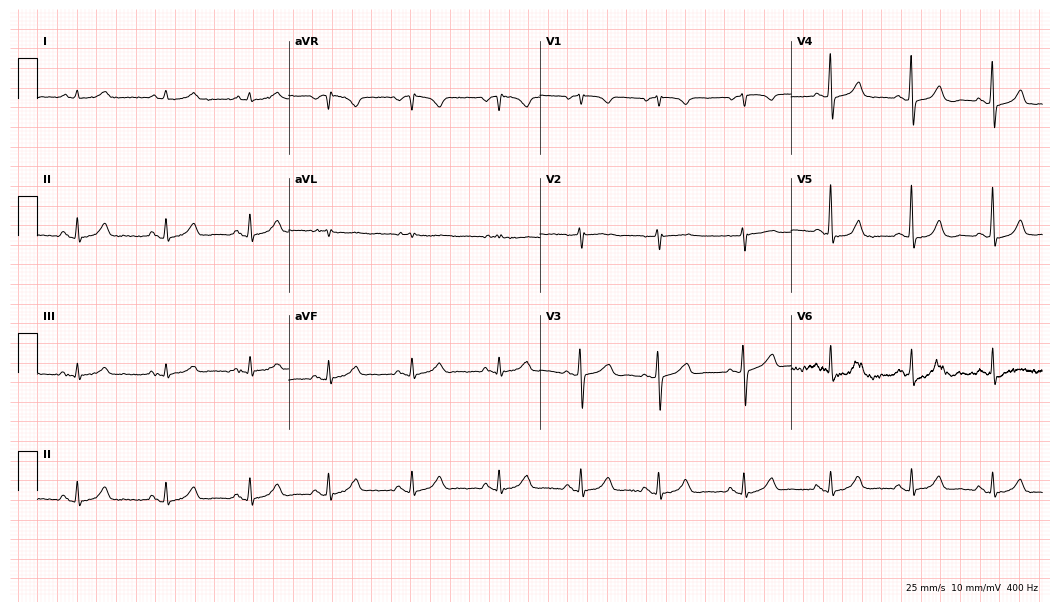
Standard 12-lead ECG recorded from a woman, 77 years old (10.2-second recording at 400 Hz). Read as a normal ECG.